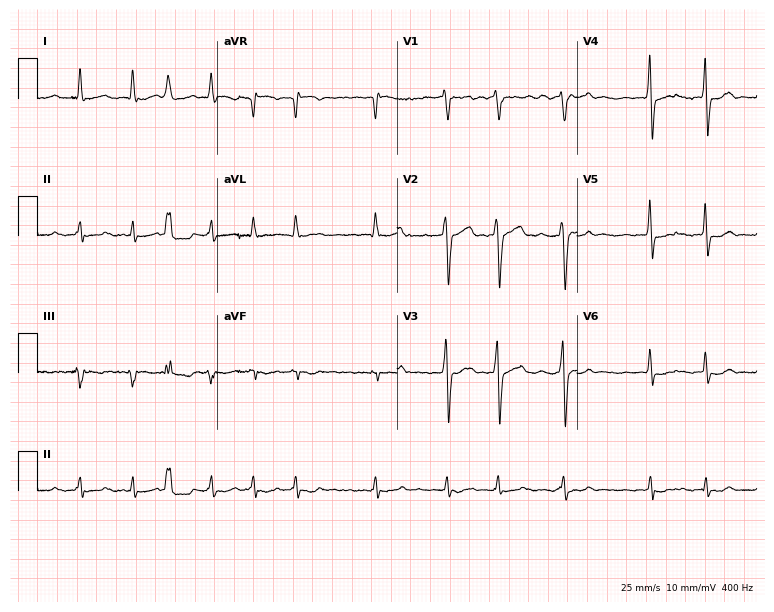
12-lead ECG (7.3-second recording at 400 Hz) from a male patient, 71 years old. Findings include atrial fibrillation.